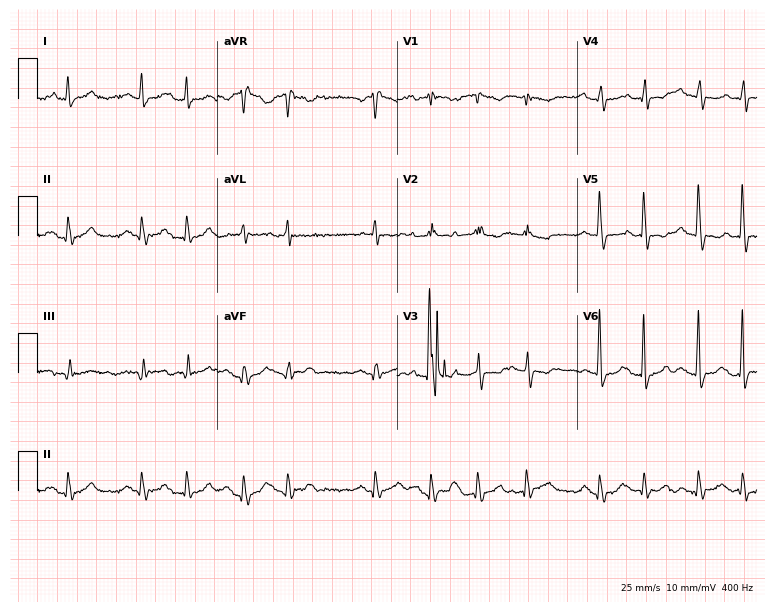
ECG (7.3-second recording at 400 Hz) — a male patient, 82 years old. Screened for six findings — first-degree AV block, right bundle branch block, left bundle branch block, sinus bradycardia, atrial fibrillation, sinus tachycardia — none is recorded. Other findings, if any, are not listed.